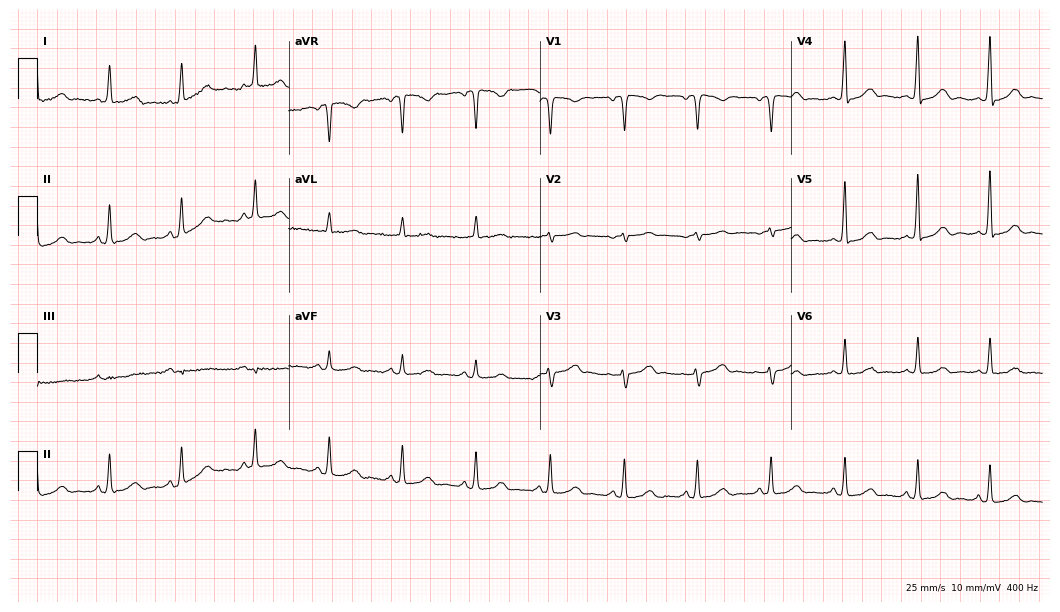
Standard 12-lead ECG recorded from a 59-year-old female (10.2-second recording at 400 Hz). None of these six findings is recorded: first-degree AV block, right bundle branch block (RBBB), left bundle branch block (LBBB), sinus bradycardia, atrial fibrillation (AF), sinus tachycardia. Other findings, if any, are not listed.